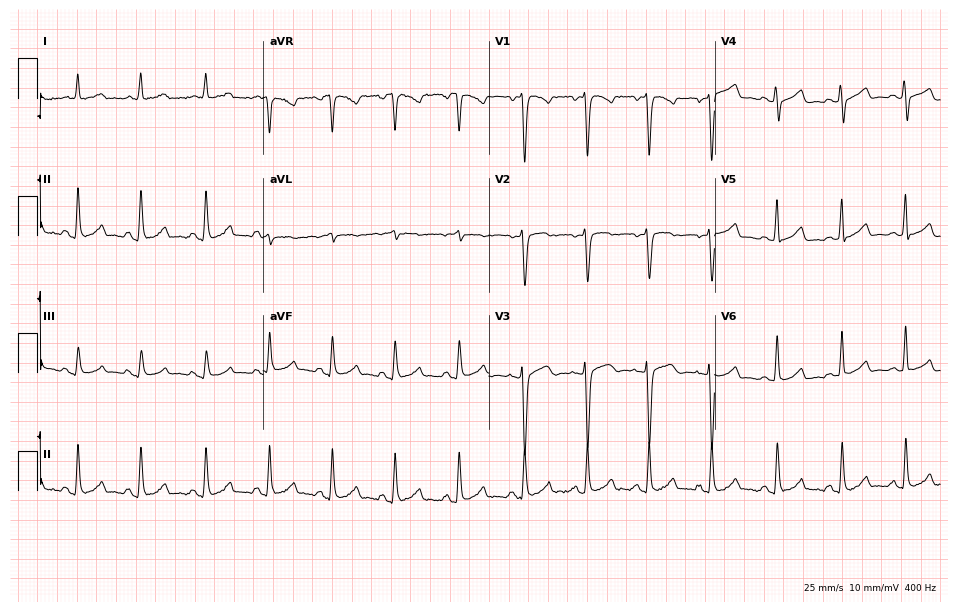
12-lead ECG from a 44-year-old woman (9.2-second recording at 400 Hz). Recorded interpretation: within normal limits.